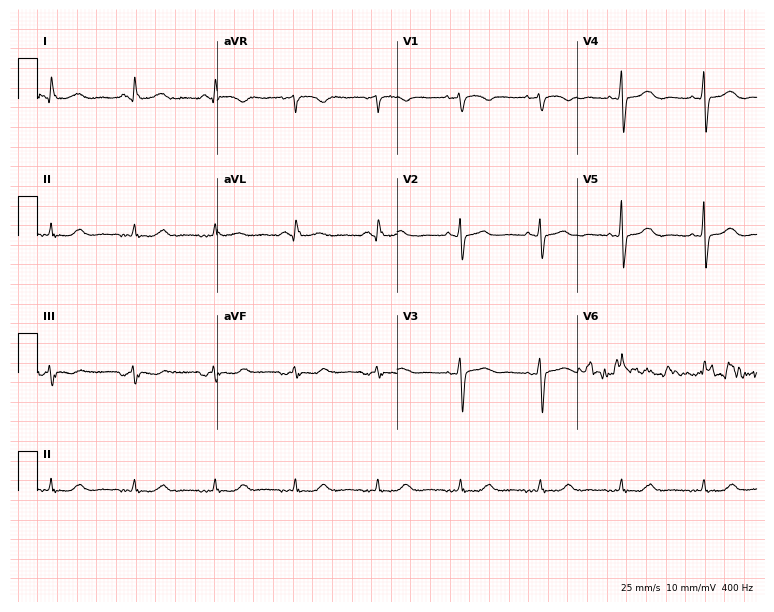
Standard 12-lead ECG recorded from a 54-year-old female patient (7.3-second recording at 400 Hz). Read as a normal ECG.